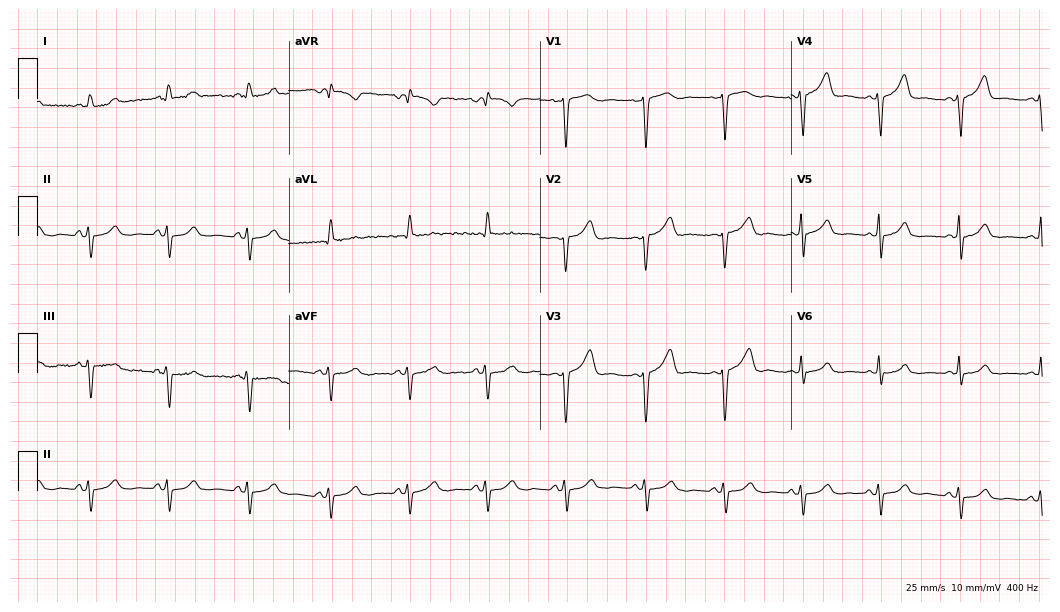
12-lead ECG from a woman, 60 years old. Screened for six findings — first-degree AV block, right bundle branch block, left bundle branch block, sinus bradycardia, atrial fibrillation, sinus tachycardia — none is recorded.